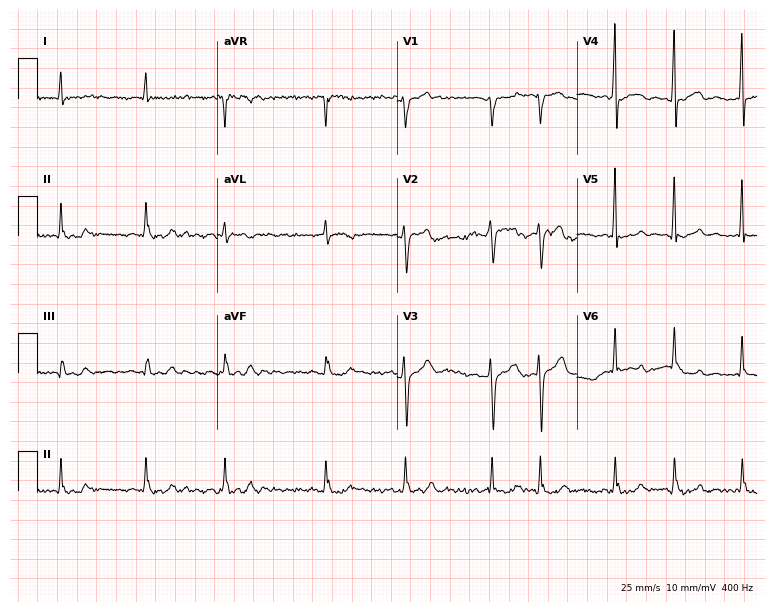
Electrocardiogram (7.3-second recording at 400 Hz), a male, 75 years old. Interpretation includes atrial fibrillation.